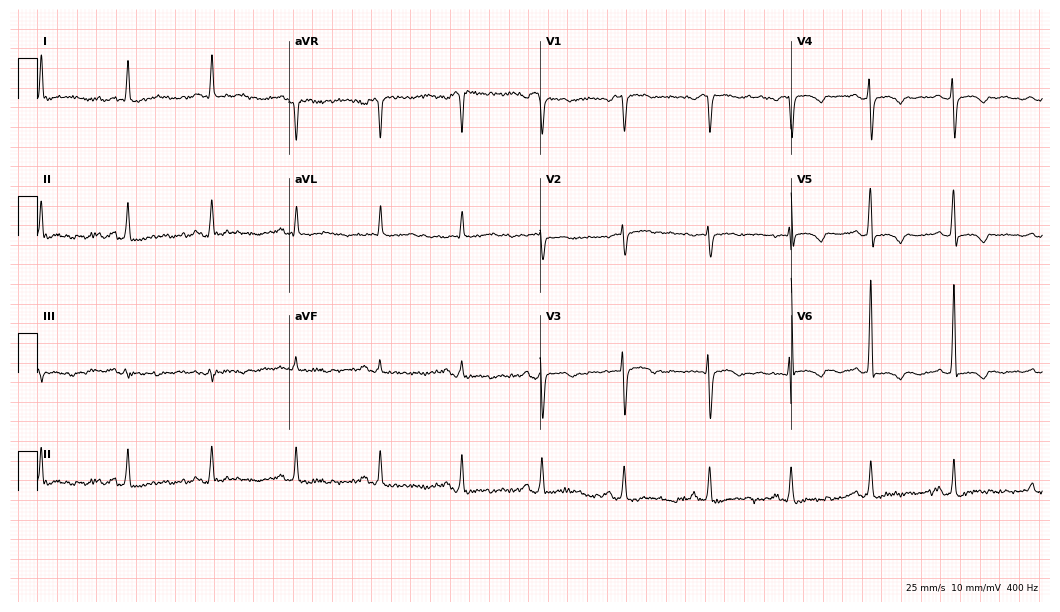
Resting 12-lead electrocardiogram (10.2-second recording at 400 Hz). Patient: a 79-year-old female. None of these six findings is recorded: first-degree AV block, right bundle branch block, left bundle branch block, sinus bradycardia, atrial fibrillation, sinus tachycardia.